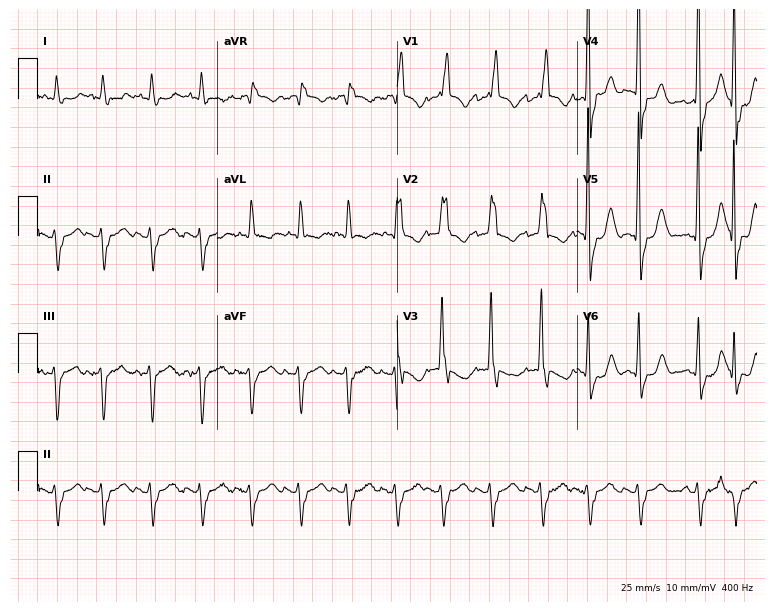
12-lead ECG from a female patient, 84 years old. Findings include right bundle branch block, sinus tachycardia (a sinus rate of 100 beats per minute or more).